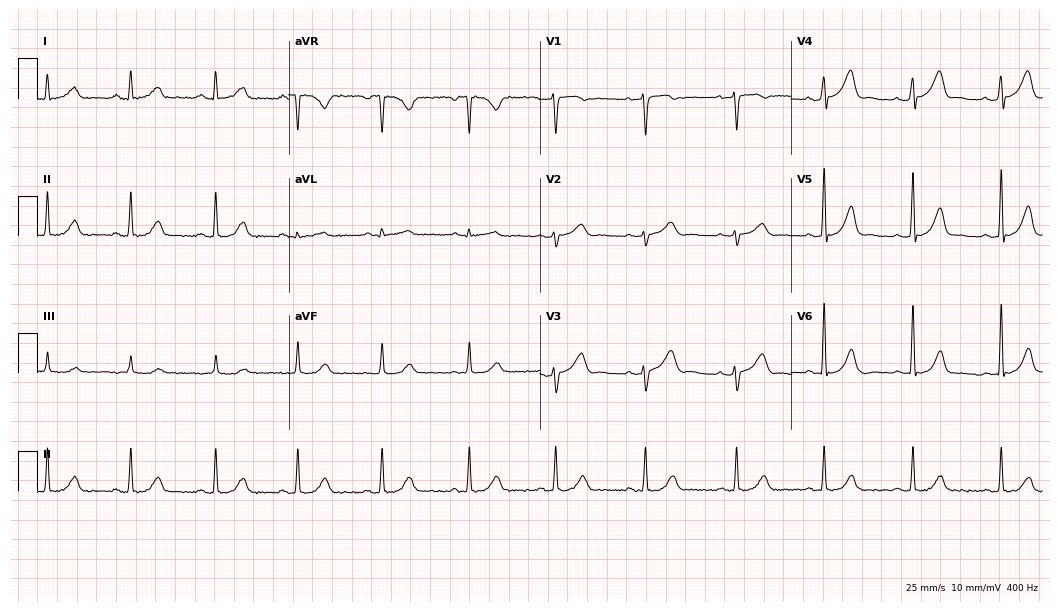
12-lead ECG (10.2-second recording at 400 Hz) from a female patient, 34 years old. Labelled as a normal ECG.